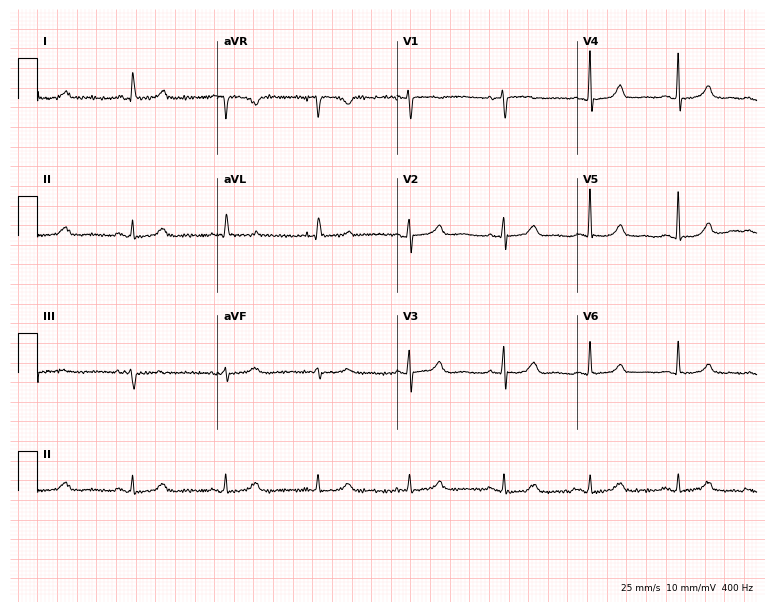
12-lead ECG (7.3-second recording at 400 Hz) from a female, 80 years old. Labelled as a normal ECG.